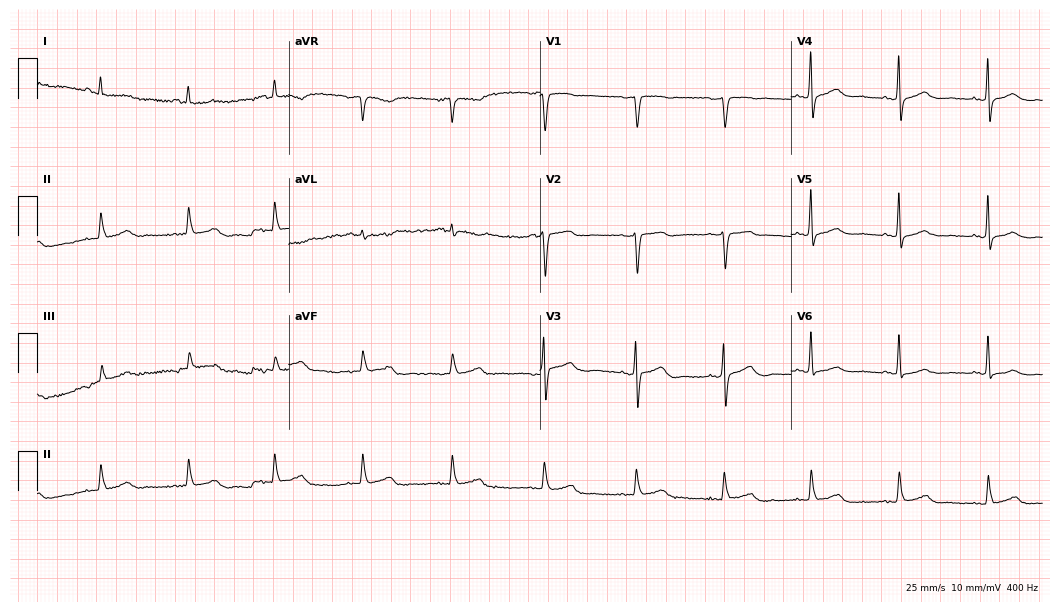
12-lead ECG from a 69-year-old female (10.2-second recording at 400 Hz). No first-degree AV block, right bundle branch block (RBBB), left bundle branch block (LBBB), sinus bradycardia, atrial fibrillation (AF) or sinus tachycardia recorded for this tracing. Findings outside these six are not listed.